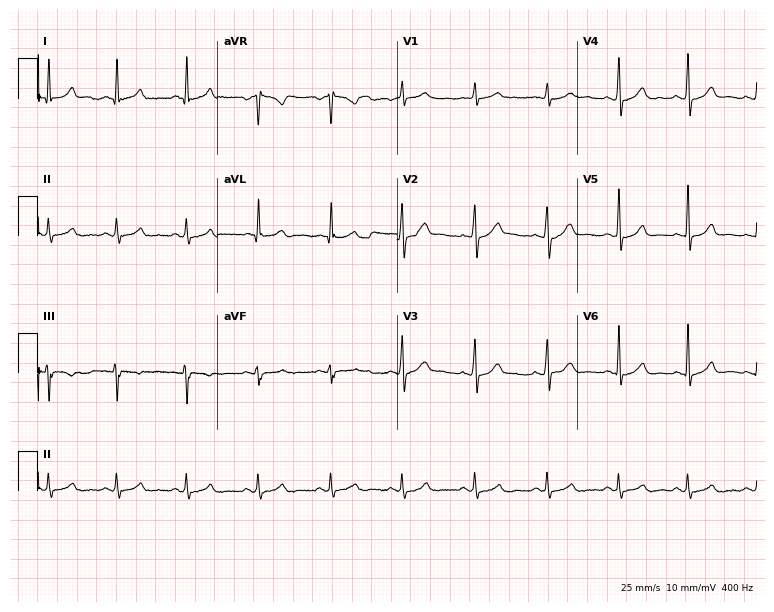
Electrocardiogram, a woman, 36 years old. Of the six screened findings (first-degree AV block, right bundle branch block, left bundle branch block, sinus bradycardia, atrial fibrillation, sinus tachycardia), none is recorded. Findings outside these six are not listed.